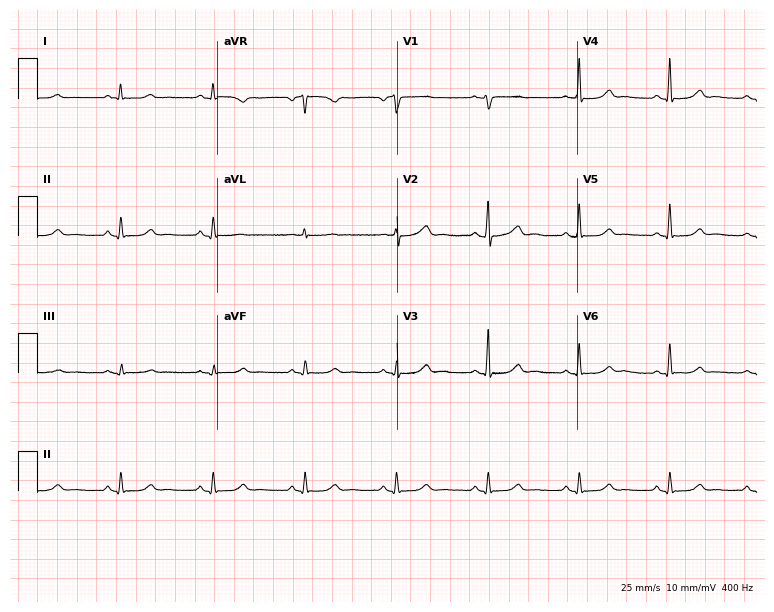
Resting 12-lead electrocardiogram (7.3-second recording at 400 Hz). Patient: a 42-year-old female. Read as a normal ECG.